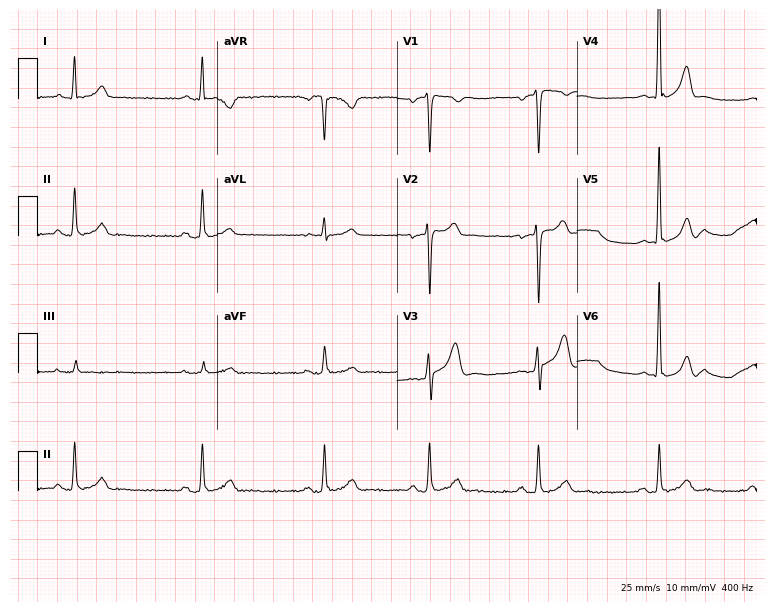
Standard 12-lead ECG recorded from a male patient, 32 years old. None of these six findings is recorded: first-degree AV block, right bundle branch block, left bundle branch block, sinus bradycardia, atrial fibrillation, sinus tachycardia. Findings outside these six are not listed.